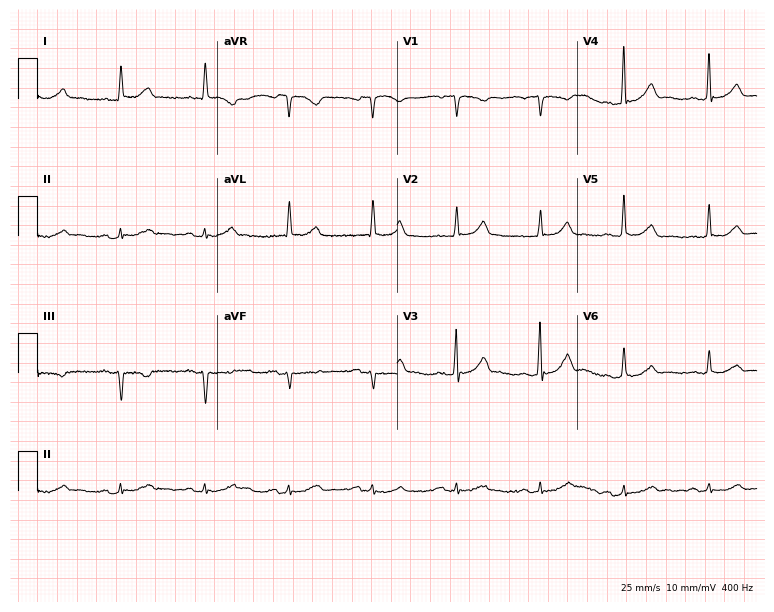
Resting 12-lead electrocardiogram. Patient: a 70-year-old male. Read as a normal ECG.